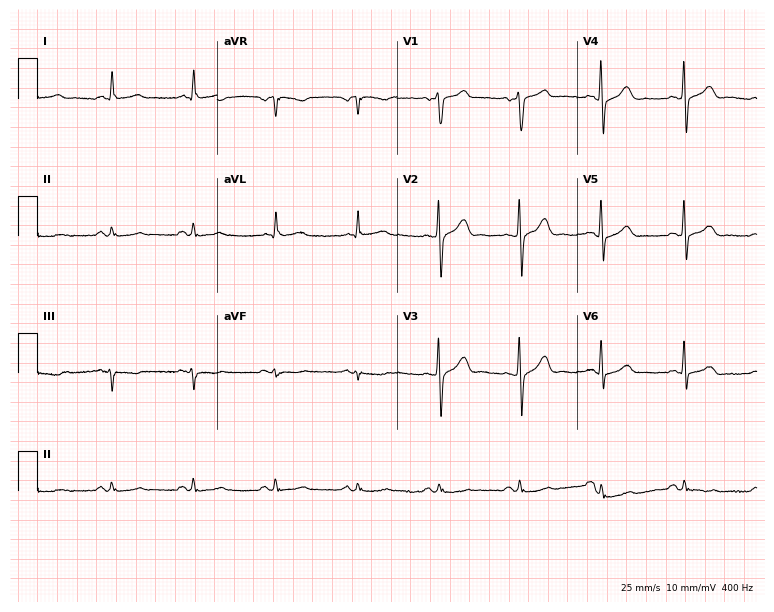
Electrocardiogram, a 58-year-old man. Of the six screened findings (first-degree AV block, right bundle branch block (RBBB), left bundle branch block (LBBB), sinus bradycardia, atrial fibrillation (AF), sinus tachycardia), none is recorded.